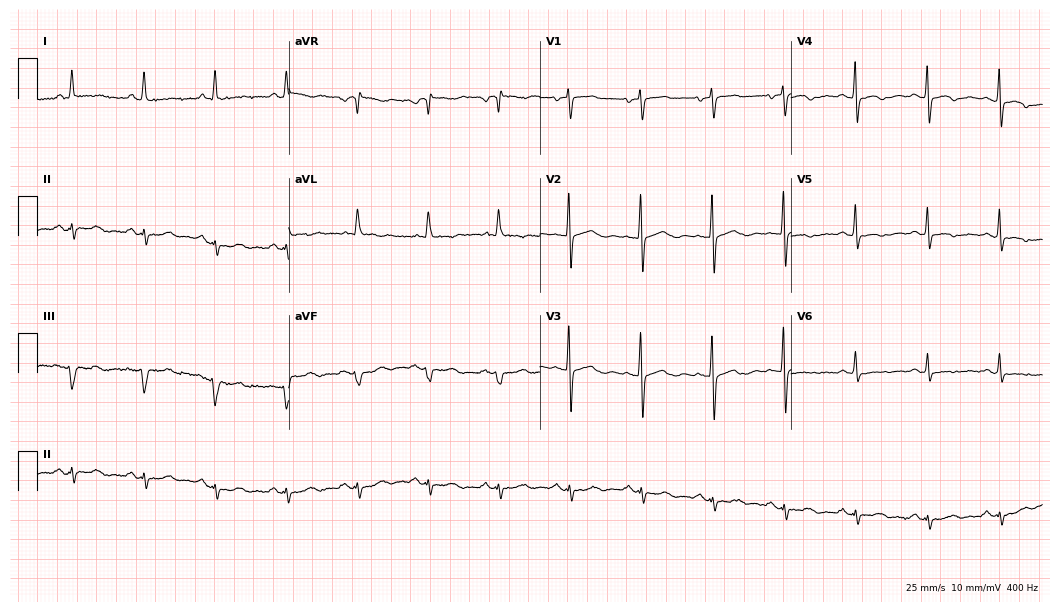
12-lead ECG from a female, 75 years old. No first-degree AV block, right bundle branch block (RBBB), left bundle branch block (LBBB), sinus bradycardia, atrial fibrillation (AF) or sinus tachycardia recorded for this tracing. Findings outside these six are not listed.